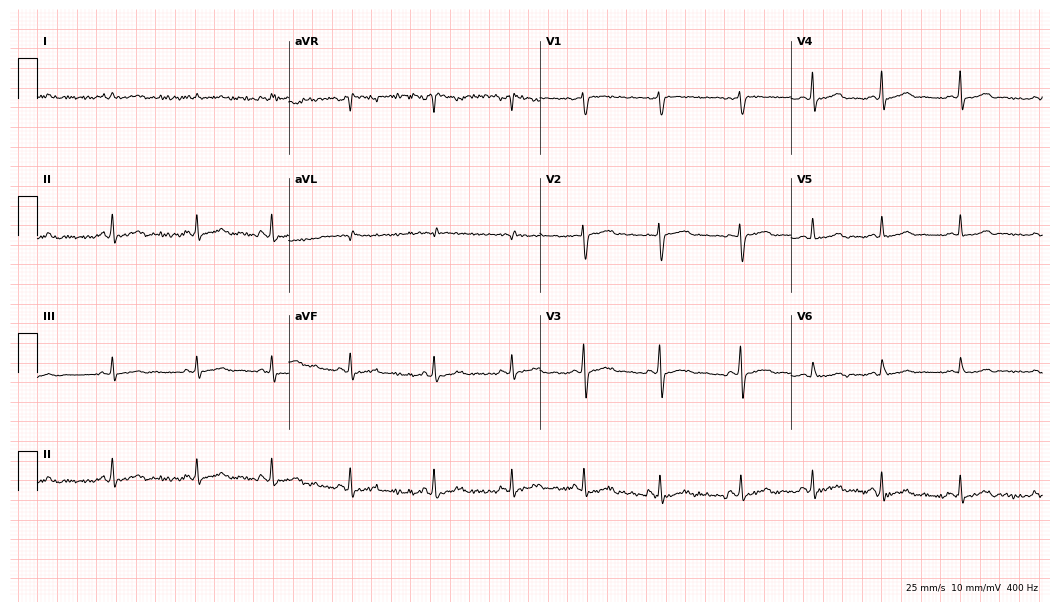
12-lead ECG (10.2-second recording at 400 Hz) from a female patient, 20 years old. Labelled as a normal ECG.